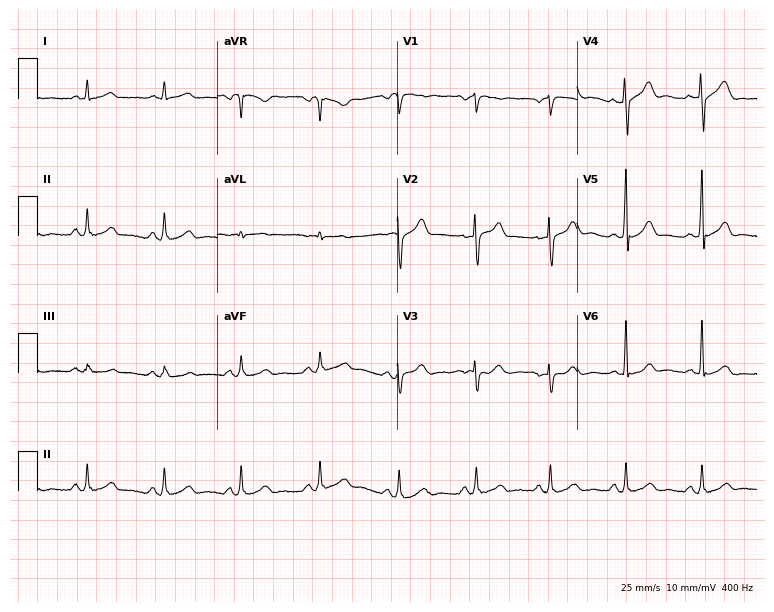
12-lead ECG from a 53-year-old man. Labelled as a normal ECG.